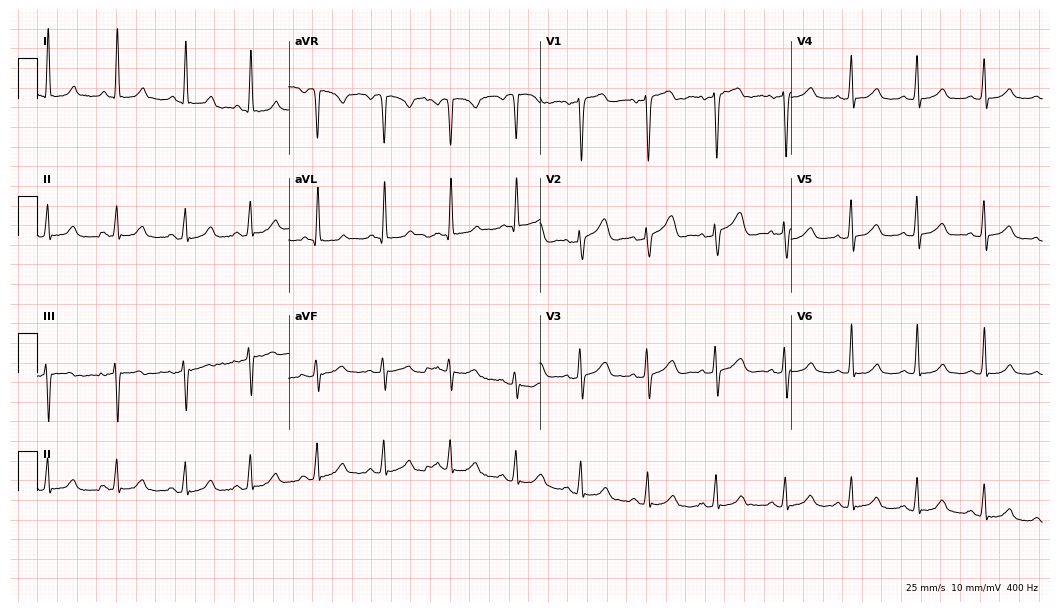
12-lead ECG from a 54-year-old woman (10.2-second recording at 400 Hz). No first-degree AV block, right bundle branch block, left bundle branch block, sinus bradycardia, atrial fibrillation or sinus tachycardia recorded for this tracing.